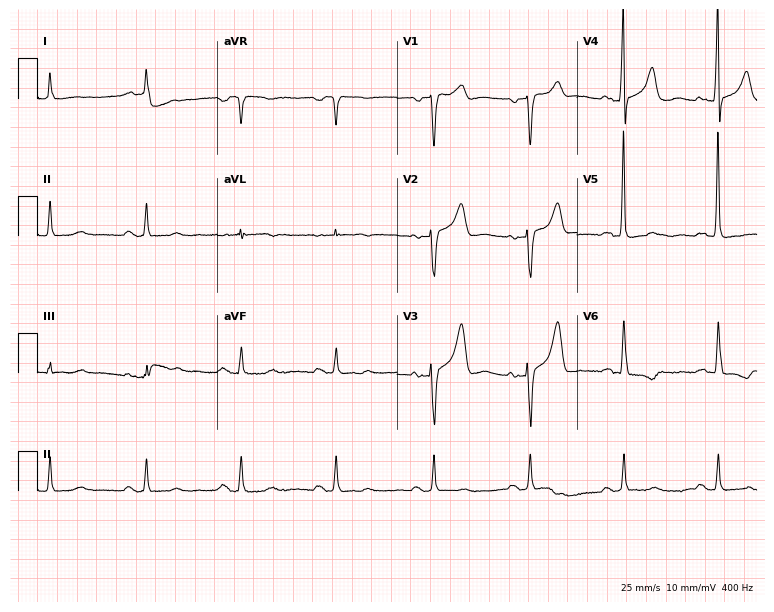
12-lead ECG (7.3-second recording at 400 Hz) from a male patient, 76 years old. Screened for six findings — first-degree AV block, right bundle branch block, left bundle branch block, sinus bradycardia, atrial fibrillation, sinus tachycardia — none is recorded. Findings outside these six are not listed.